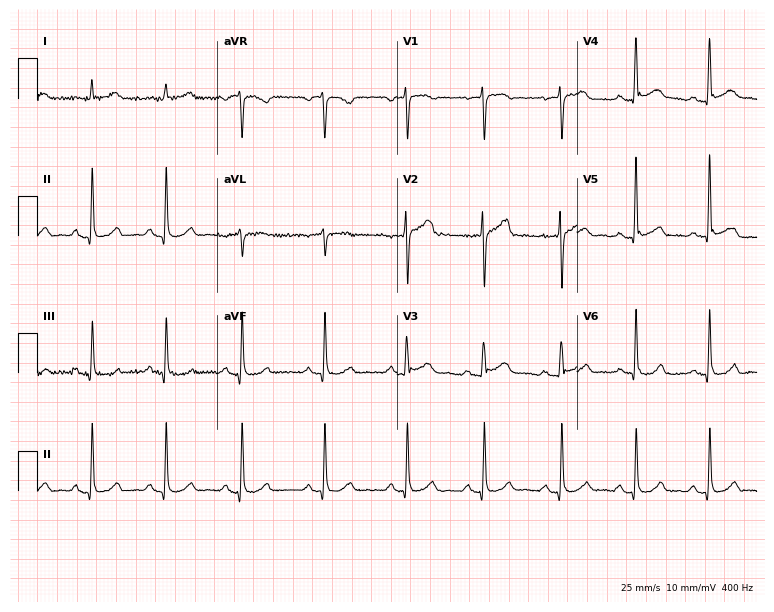
12-lead ECG (7.3-second recording at 400 Hz) from a male patient, 73 years old. Labelled as a normal ECG.